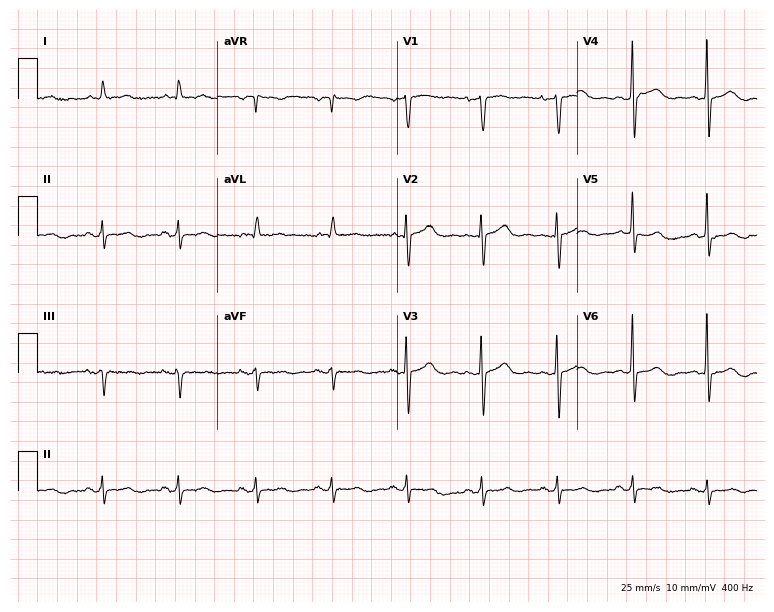
12-lead ECG from a female patient, 80 years old. Screened for six findings — first-degree AV block, right bundle branch block (RBBB), left bundle branch block (LBBB), sinus bradycardia, atrial fibrillation (AF), sinus tachycardia — none is recorded.